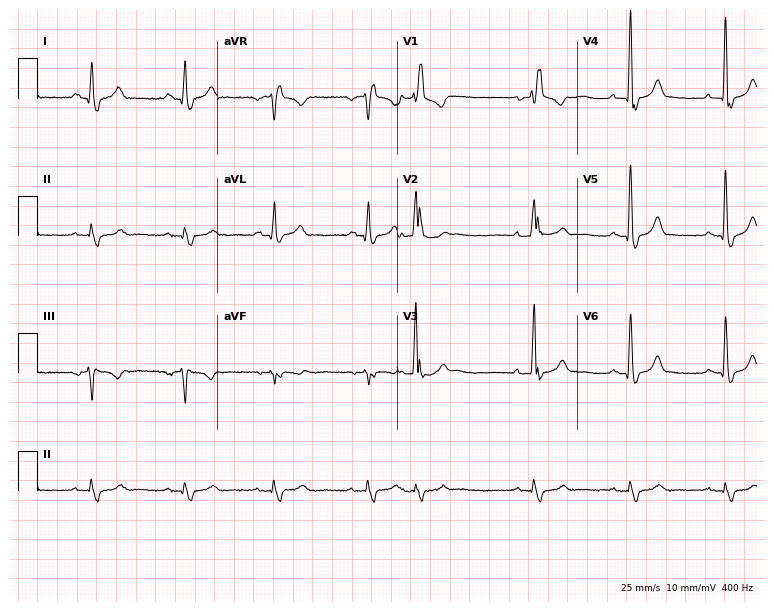
Standard 12-lead ECG recorded from a 72-year-old male (7.3-second recording at 400 Hz). The tracing shows right bundle branch block.